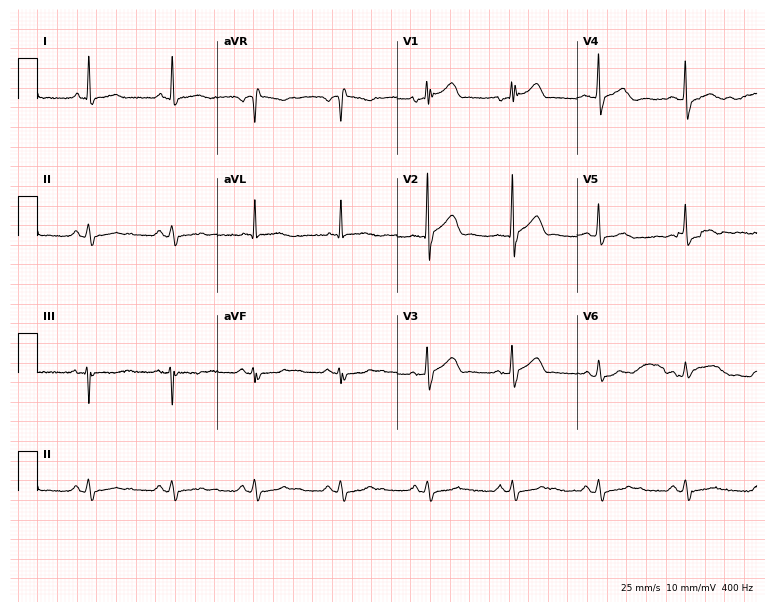
Electrocardiogram (7.3-second recording at 400 Hz), a 58-year-old male. Overall reading on record: normal ECG.